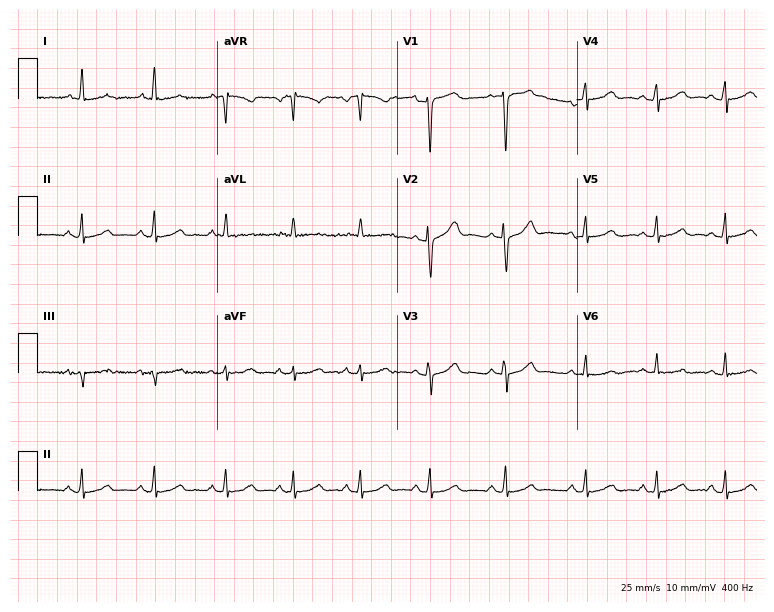
Standard 12-lead ECG recorded from a female patient, 30 years old (7.3-second recording at 400 Hz). Read as a normal ECG.